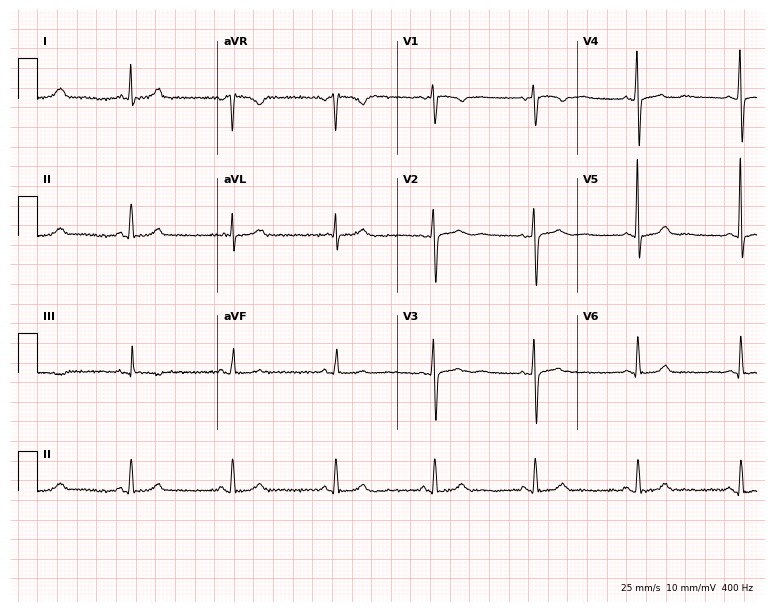
ECG — a 39-year-old female patient. Screened for six findings — first-degree AV block, right bundle branch block, left bundle branch block, sinus bradycardia, atrial fibrillation, sinus tachycardia — none is recorded. Findings outside these six are not listed.